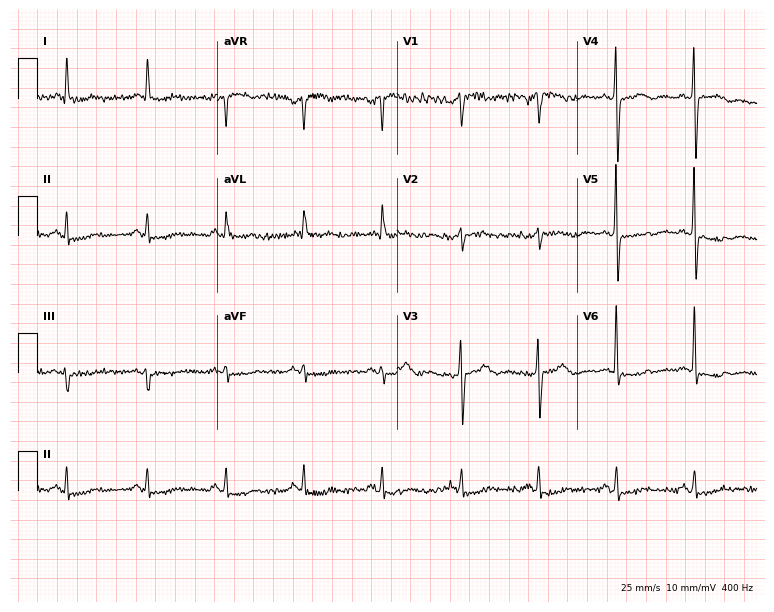
ECG (7.3-second recording at 400 Hz) — a male, 82 years old. Screened for six findings — first-degree AV block, right bundle branch block (RBBB), left bundle branch block (LBBB), sinus bradycardia, atrial fibrillation (AF), sinus tachycardia — none is recorded. Findings outside these six are not listed.